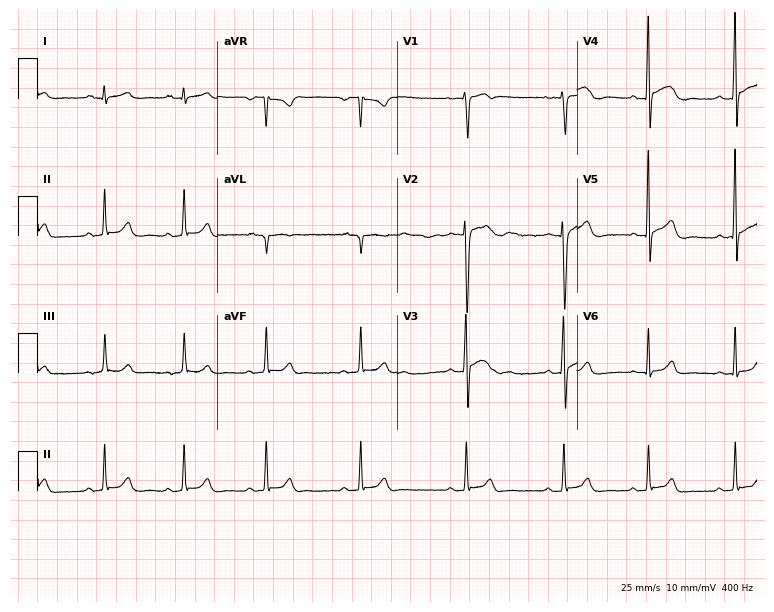
Resting 12-lead electrocardiogram (7.3-second recording at 400 Hz). Patient: a 21-year-old man. Read as a normal ECG.